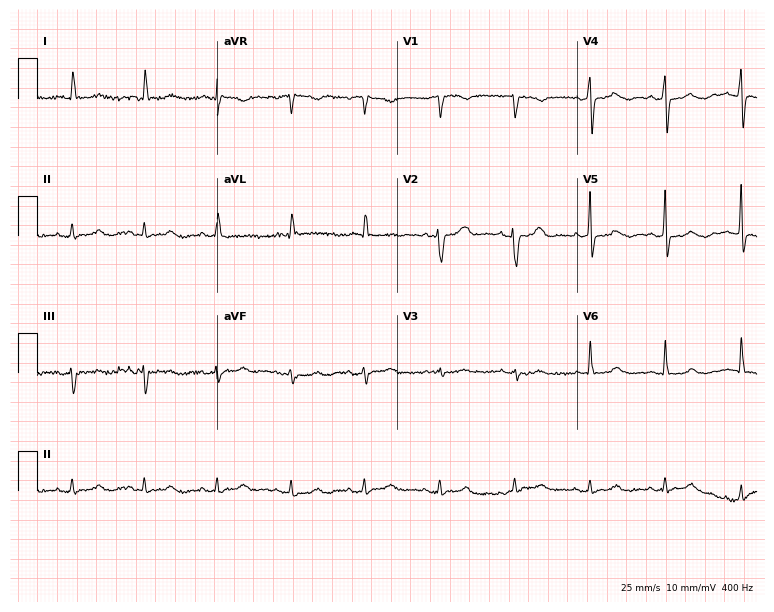
Electrocardiogram, a female, 82 years old. Overall reading on record: normal ECG.